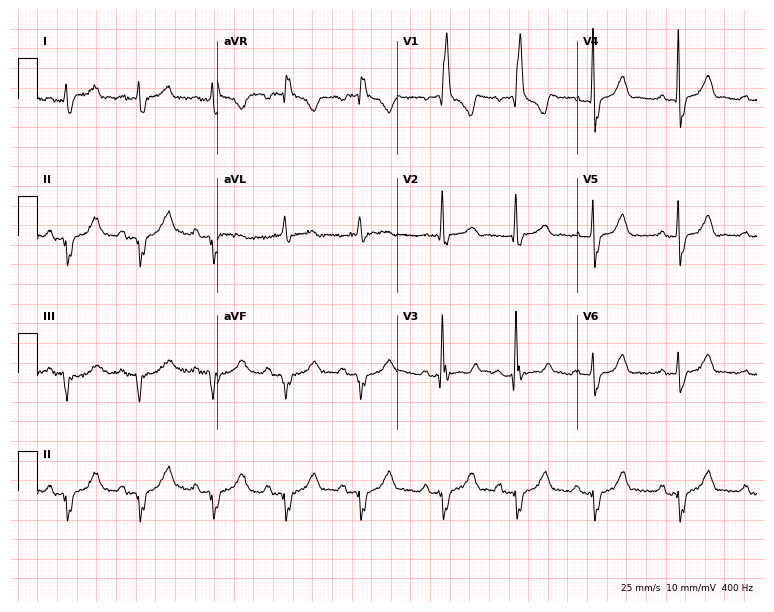
Electrocardiogram (7.3-second recording at 400 Hz), a male, 84 years old. Interpretation includes right bundle branch block.